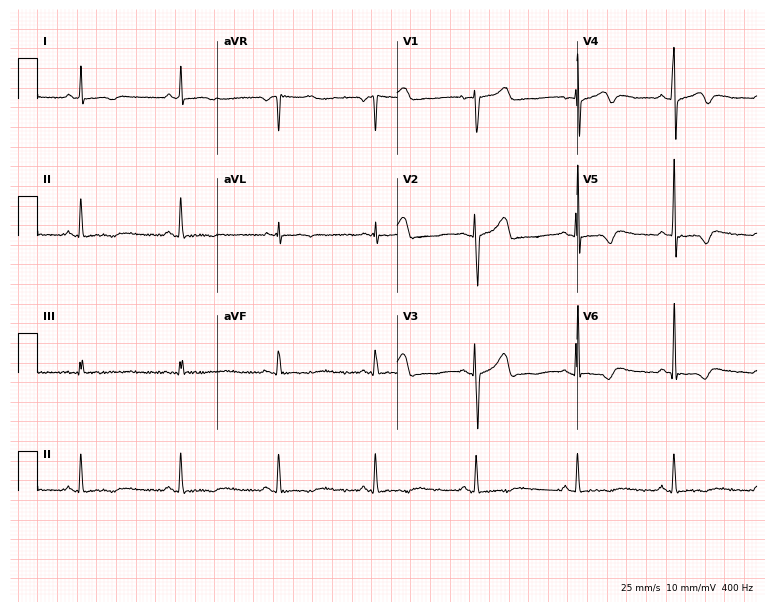
12-lead ECG from a 42-year-old female patient (7.3-second recording at 400 Hz). No first-degree AV block, right bundle branch block (RBBB), left bundle branch block (LBBB), sinus bradycardia, atrial fibrillation (AF) or sinus tachycardia recorded for this tracing. Other findings, if any, are not listed.